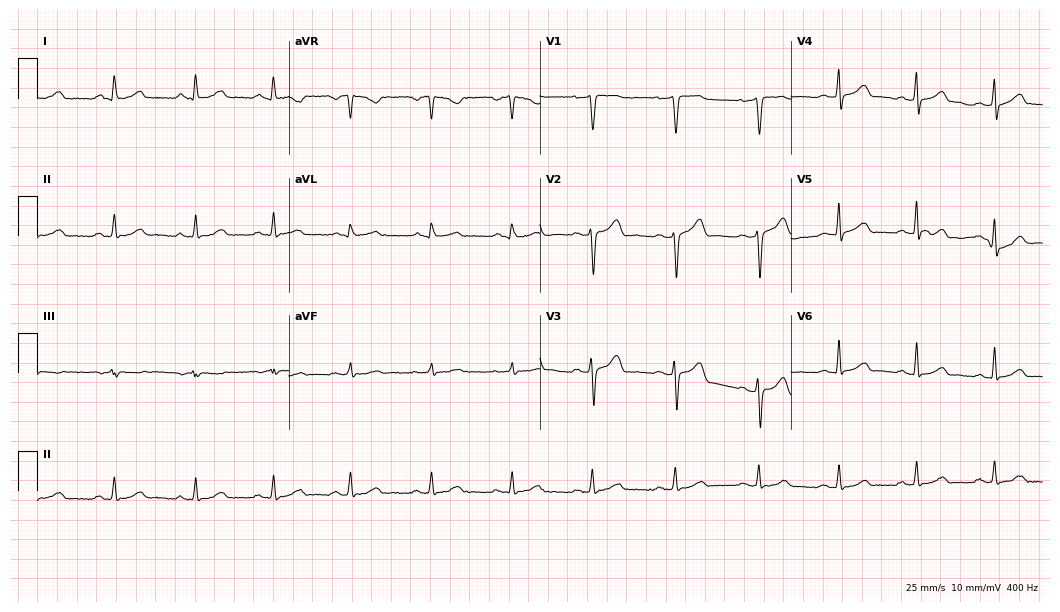
12-lead ECG from a 42-year-old male (10.2-second recording at 400 Hz). Recorded interpretation: within normal limits.